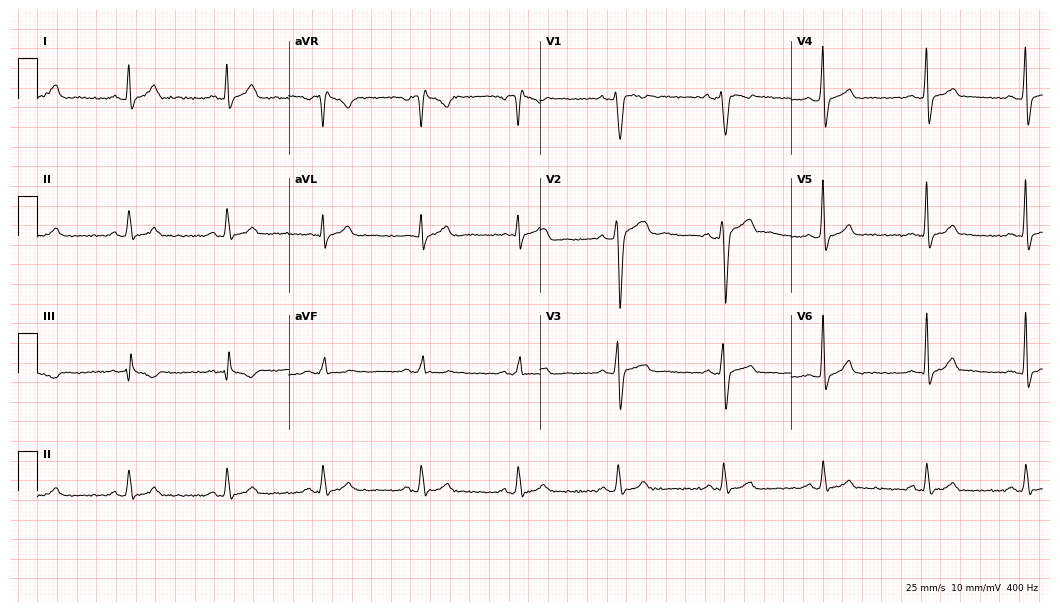
Resting 12-lead electrocardiogram. Patient: a male, 28 years old. None of these six findings is recorded: first-degree AV block, right bundle branch block, left bundle branch block, sinus bradycardia, atrial fibrillation, sinus tachycardia. Other findings, if any, are not listed.